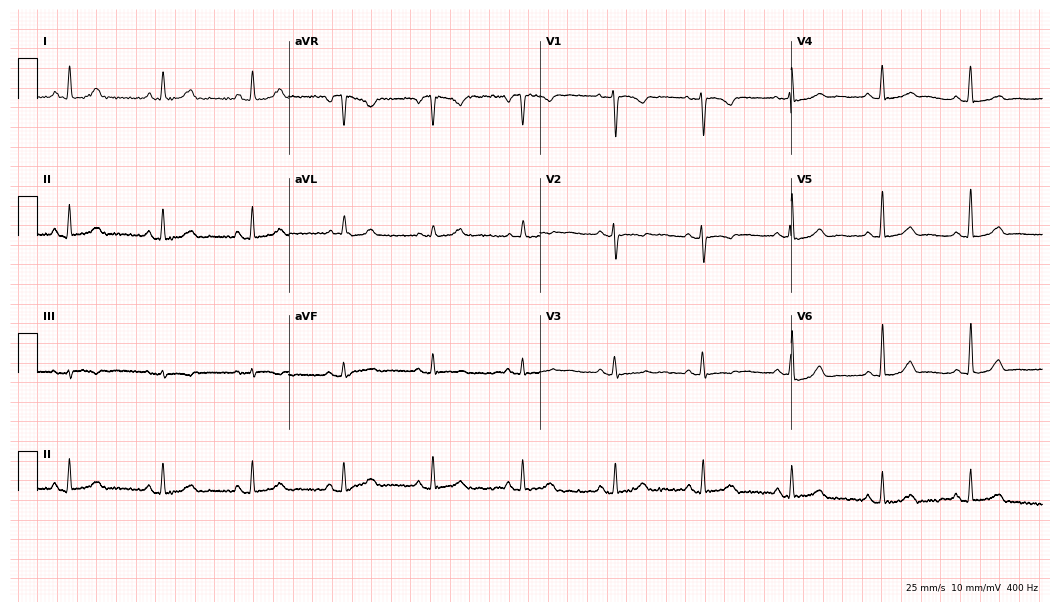
Resting 12-lead electrocardiogram (10.2-second recording at 400 Hz). Patient: a female, 45 years old. None of these six findings is recorded: first-degree AV block, right bundle branch block, left bundle branch block, sinus bradycardia, atrial fibrillation, sinus tachycardia.